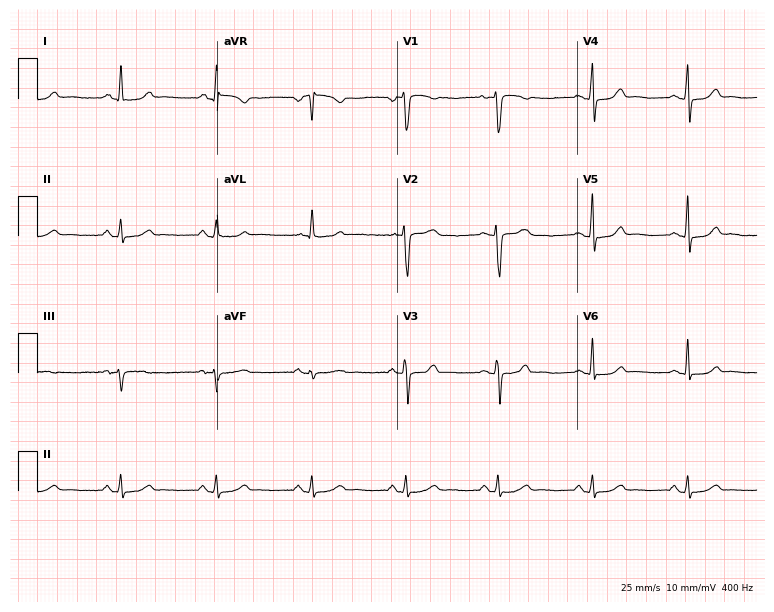
Electrocardiogram (7.3-second recording at 400 Hz), a 40-year-old female. Overall reading on record: normal ECG.